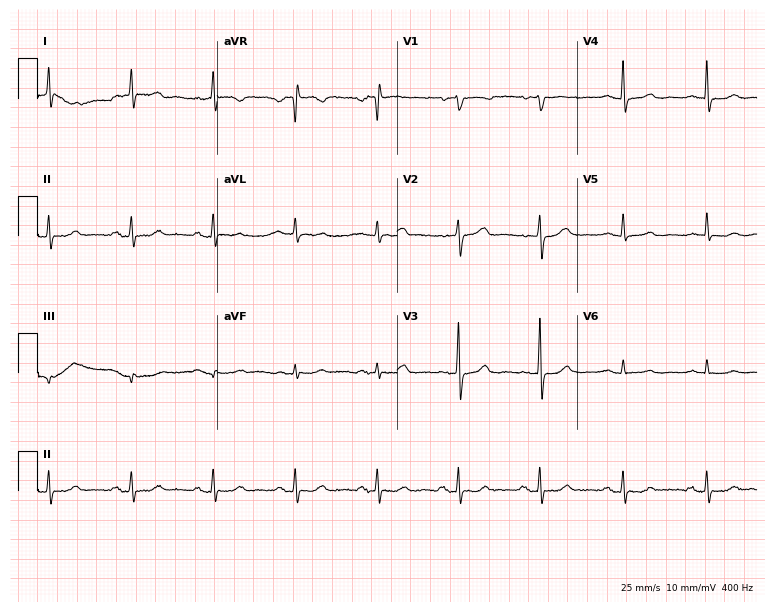
Electrocardiogram (7.3-second recording at 400 Hz), a 71-year-old female patient. Overall reading on record: normal ECG.